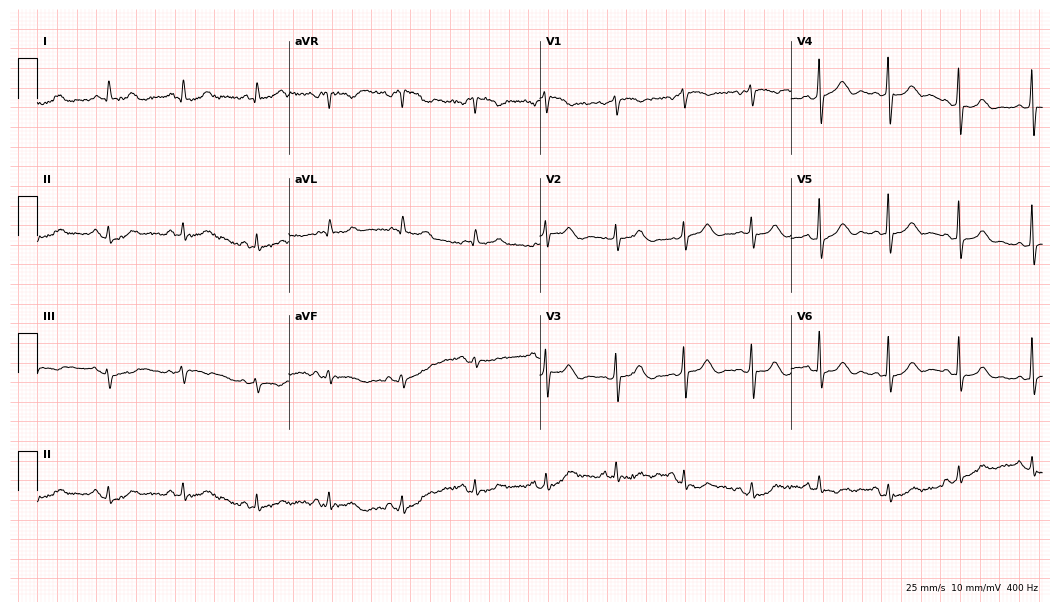
Resting 12-lead electrocardiogram (10.2-second recording at 400 Hz). Patient: a 52-year-old male. Read as a normal ECG.